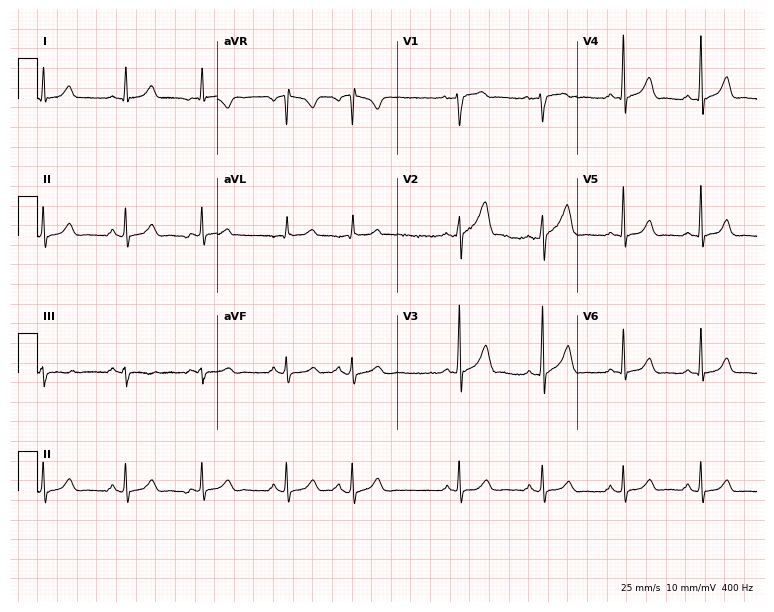
Electrocardiogram (7.3-second recording at 400 Hz), a 36-year-old male patient. Of the six screened findings (first-degree AV block, right bundle branch block, left bundle branch block, sinus bradycardia, atrial fibrillation, sinus tachycardia), none is recorded.